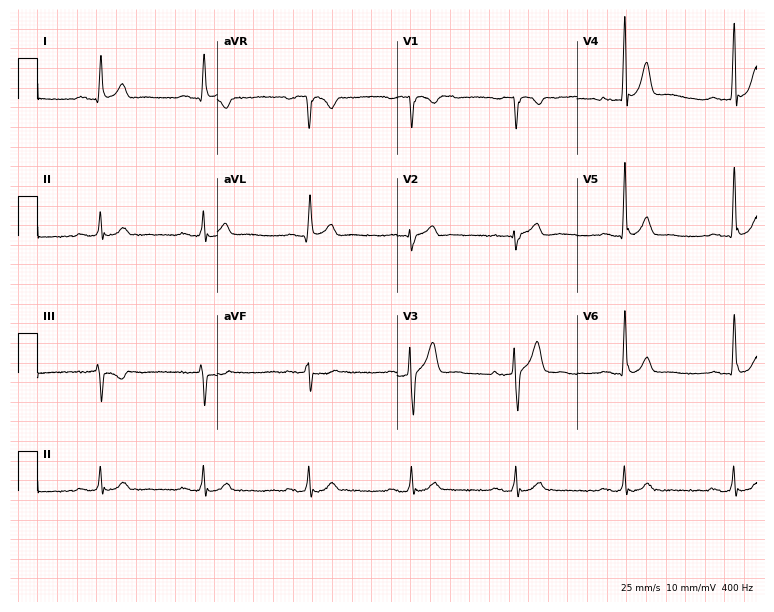
Resting 12-lead electrocardiogram (7.3-second recording at 400 Hz). Patient: a male, 50 years old. Read as a normal ECG.